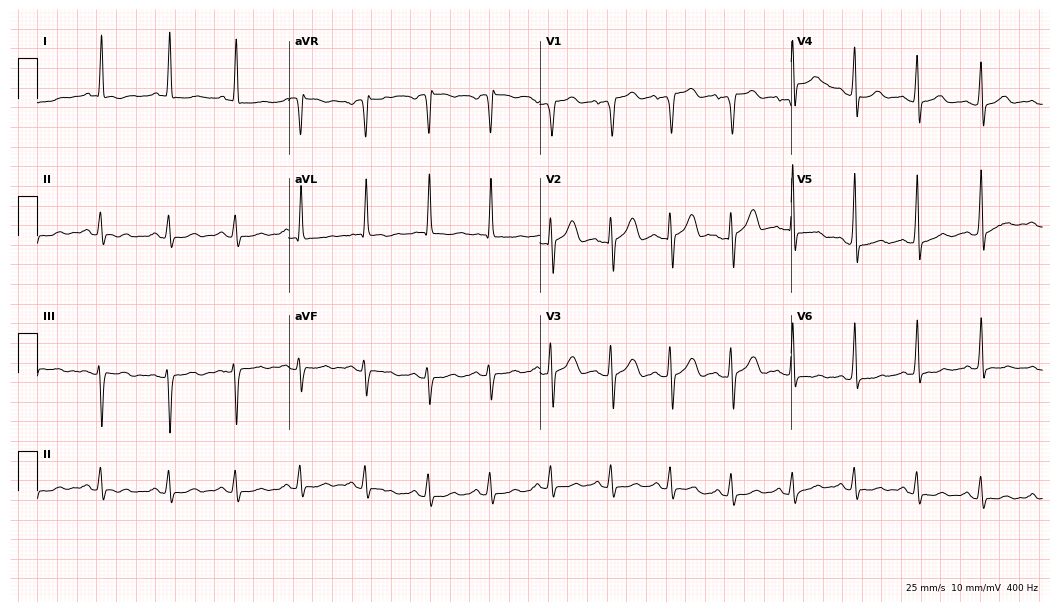
ECG (10.2-second recording at 400 Hz) — a man, 54 years old. Screened for six findings — first-degree AV block, right bundle branch block, left bundle branch block, sinus bradycardia, atrial fibrillation, sinus tachycardia — none is recorded. Findings outside these six are not listed.